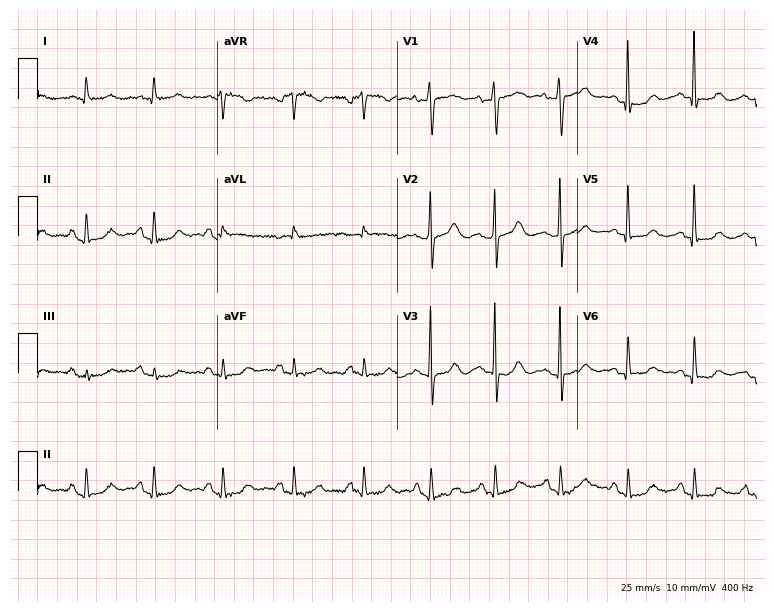
Resting 12-lead electrocardiogram (7.3-second recording at 400 Hz). Patient: a 72-year-old female. None of these six findings is recorded: first-degree AV block, right bundle branch block (RBBB), left bundle branch block (LBBB), sinus bradycardia, atrial fibrillation (AF), sinus tachycardia. Only these six findings were labelled.